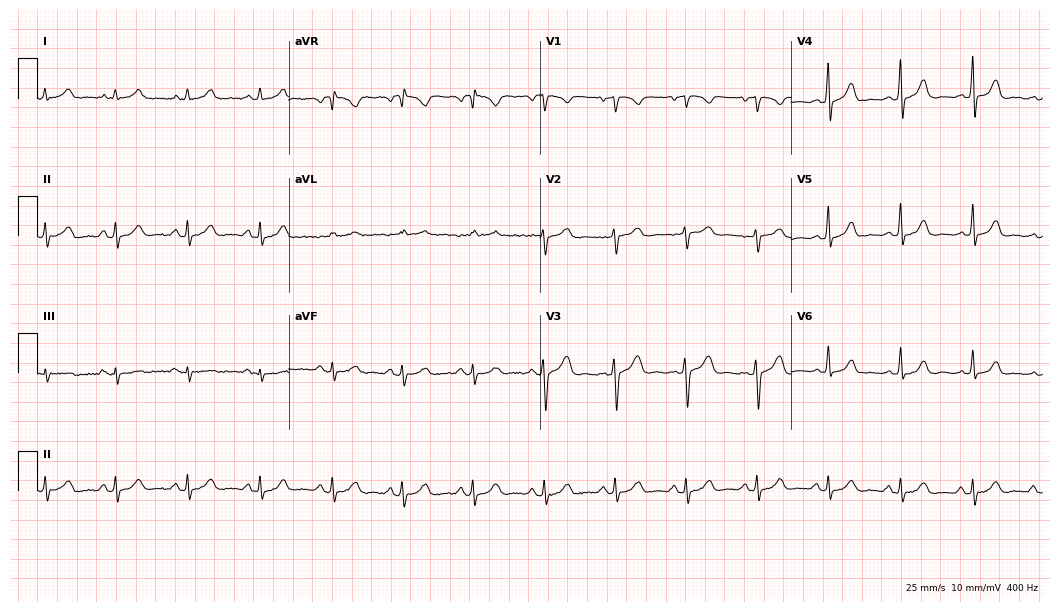
Standard 12-lead ECG recorded from a female, 40 years old (10.2-second recording at 400 Hz). Read as a normal ECG.